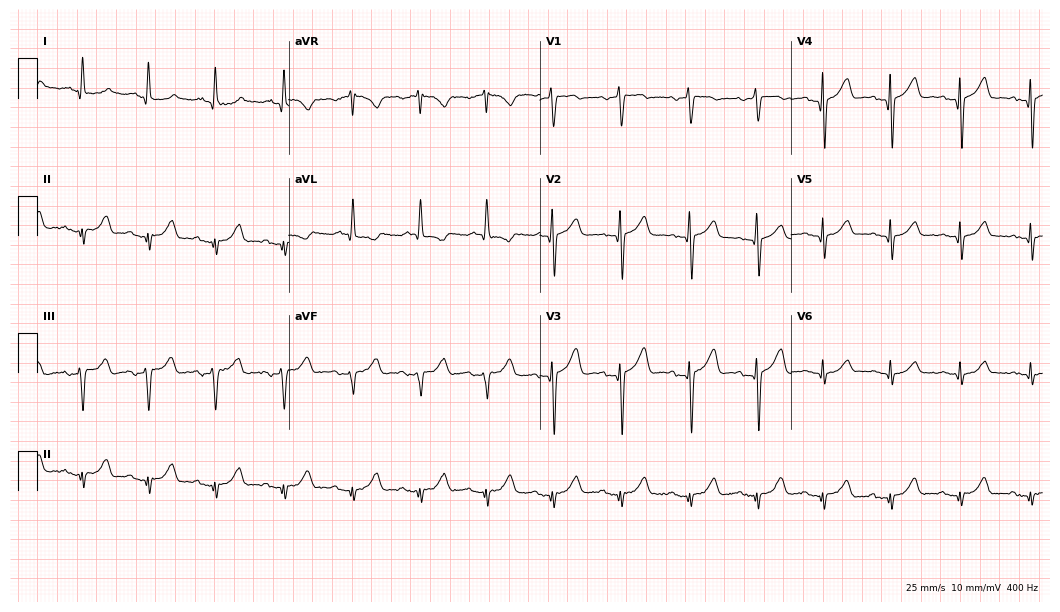
ECG (10.2-second recording at 400 Hz) — a male, 53 years old. Screened for six findings — first-degree AV block, right bundle branch block, left bundle branch block, sinus bradycardia, atrial fibrillation, sinus tachycardia — none is recorded.